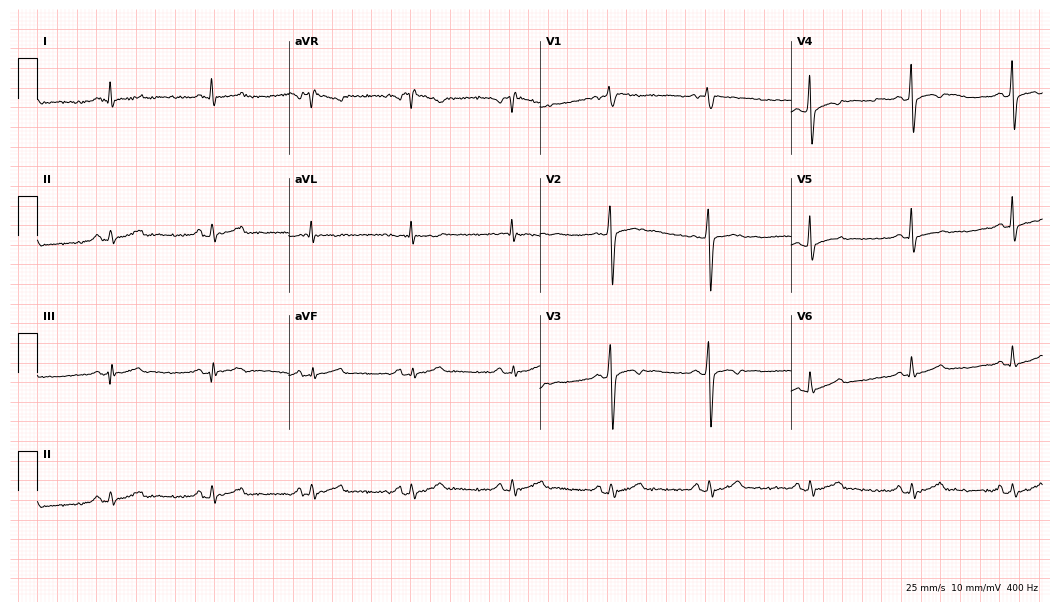
12-lead ECG from a 40-year-old male. No first-degree AV block, right bundle branch block (RBBB), left bundle branch block (LBBB), sinus bradycardia, atrial fibrillation (AF) or sinus tachycardia recorded for this tracing.